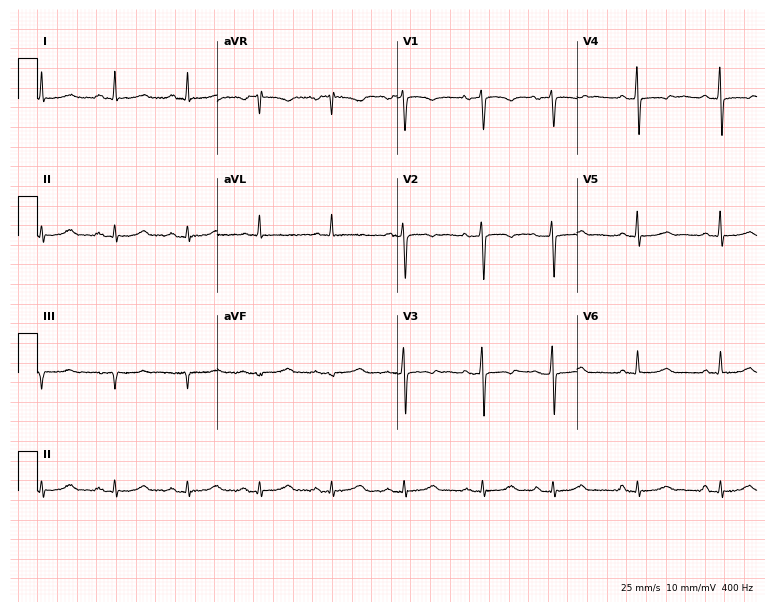
Standard 12-lead ECG recorded from a 76-year-old female. None of these six findings is recorded: first-degree AV block, right bundle branch block, left bundle branch block, sinus bradycardia, atrial fibrillation, sinus tachycardia.